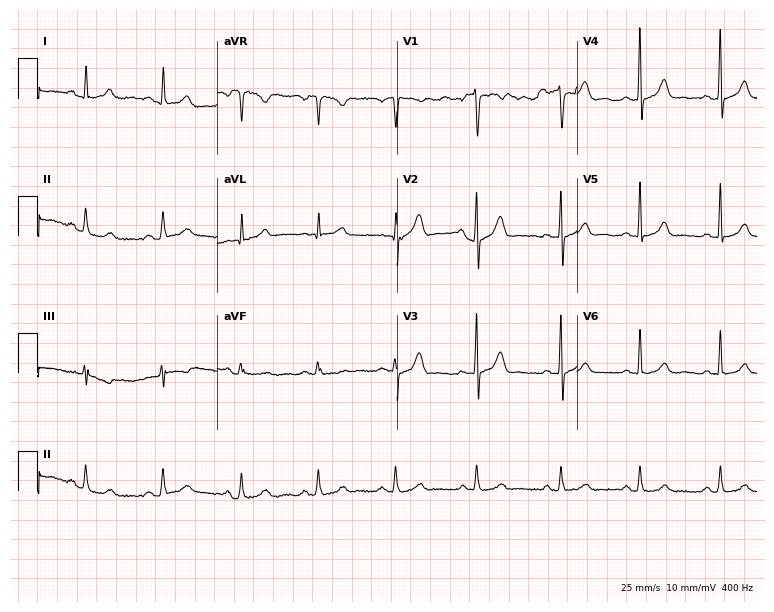
12-lead ECG from a female patient, 42 years old. No first-degree AV block, right bundle branch block (RBBB), left bundle branch block (LBBB), sinus bradycardia, atrial fibrillation (AF) or sinus tachycardia recorded for this tracing.